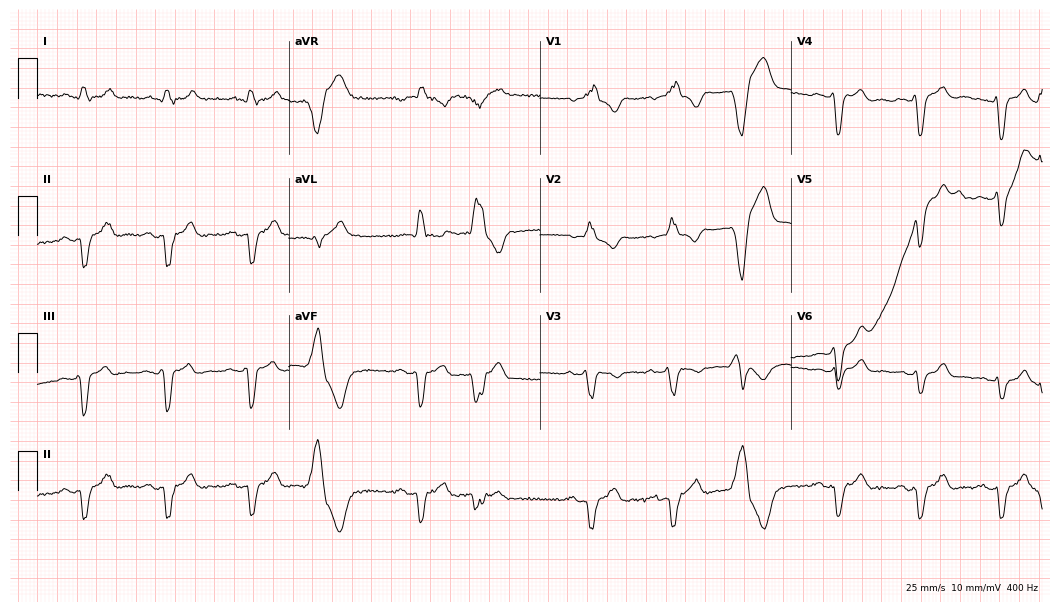
12-lead ECG (10.2-second recording at 400 Hz) from a 70-year-old man. Findings include right bundle branch block (RBBB).